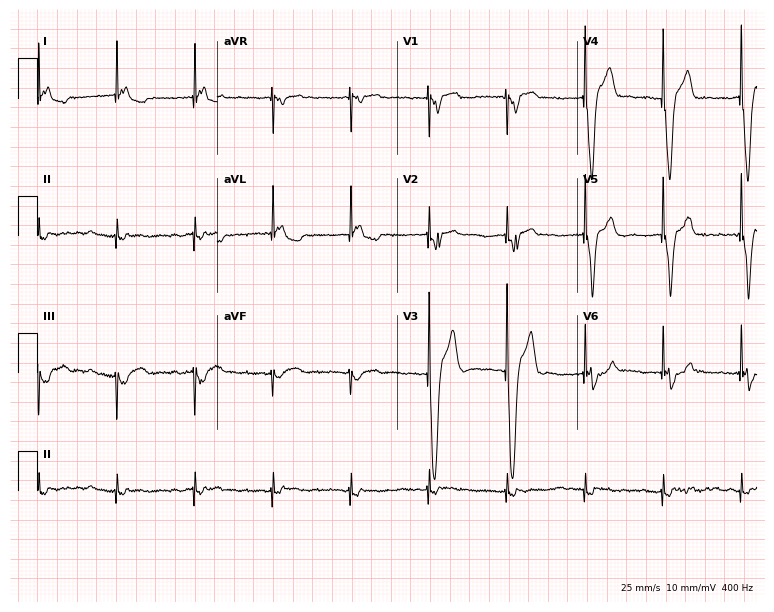
Resting 12-lead electrocardiogram. Patient: a female, 47 years old. None of these six findings is recorded: first-degree AV block, right bundle branch block, left bundle branch block, sinus bradycardia, atrial fibrillation, sinus tachycardia.